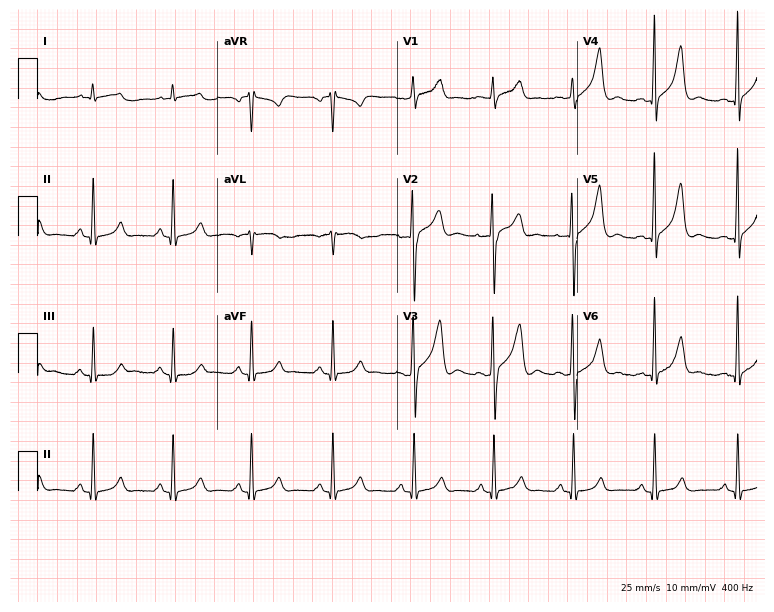
Resting 12-lead electrocardiogram. Patient: a 32-year-old male. None of these six findings is recorded: first-degree AV block, right bundle branch block, left bundle branch block, sinus bradycardia, atrial fibrillation, sinus tachycardia. Other findings, if any, are not listed.